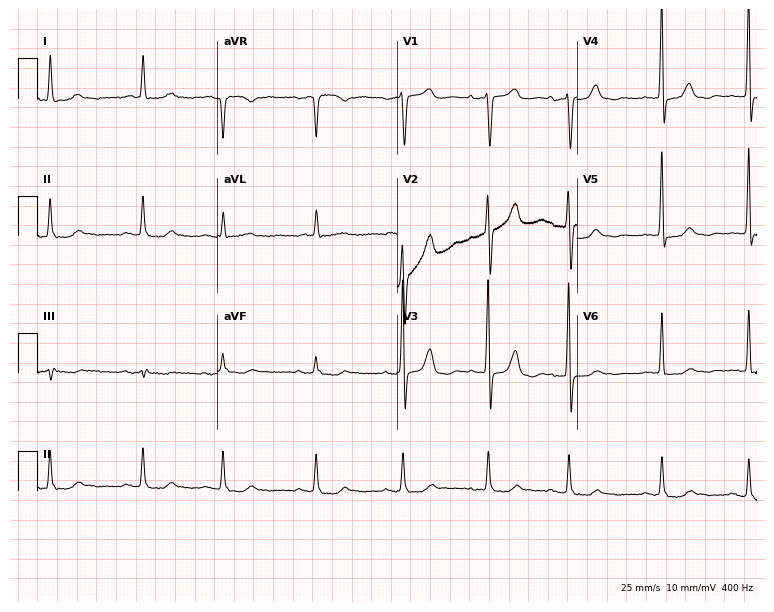
12-lead ECG (7.3-second recording at 400 Hz) from a female, 78 years old. Screened for six findings — first-degree AV block, right bundle branch block, left bundle branch block, sinus bradycardia, atrial fibrillation, sinus tachycardia — none is recorded. Findings outside these six are not listed.